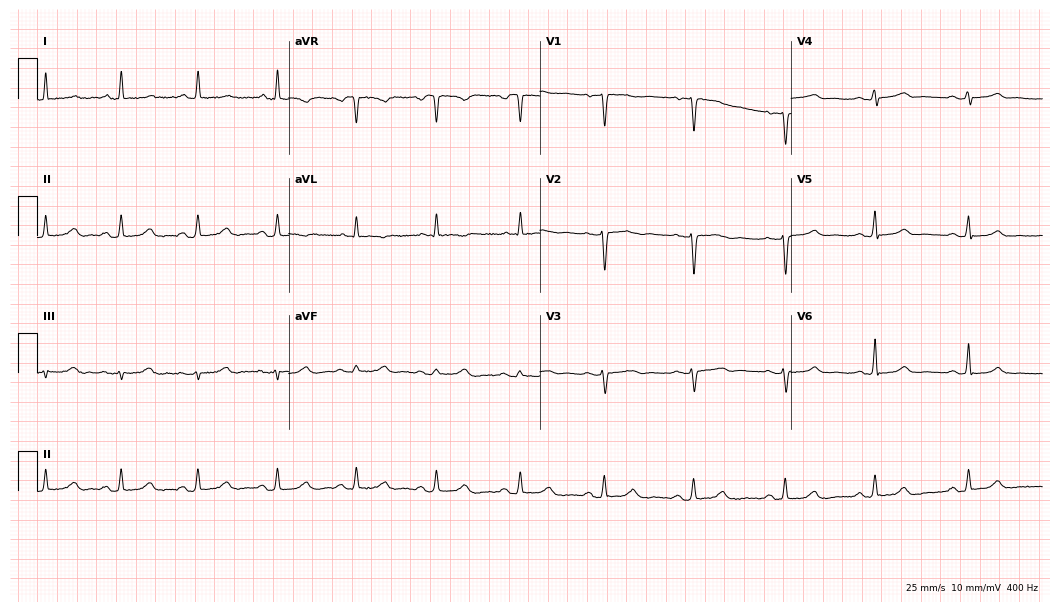
ECG — a female patient, 53 years old. Screened for six findings — first-degree AV block, right bundle branch block (RBBB), left bundle branch block (LBBB), sinus bradycardia, atrial fibrillation (AF), sinus tachycardia — none is recorded. Other findings, if any, are not listed.